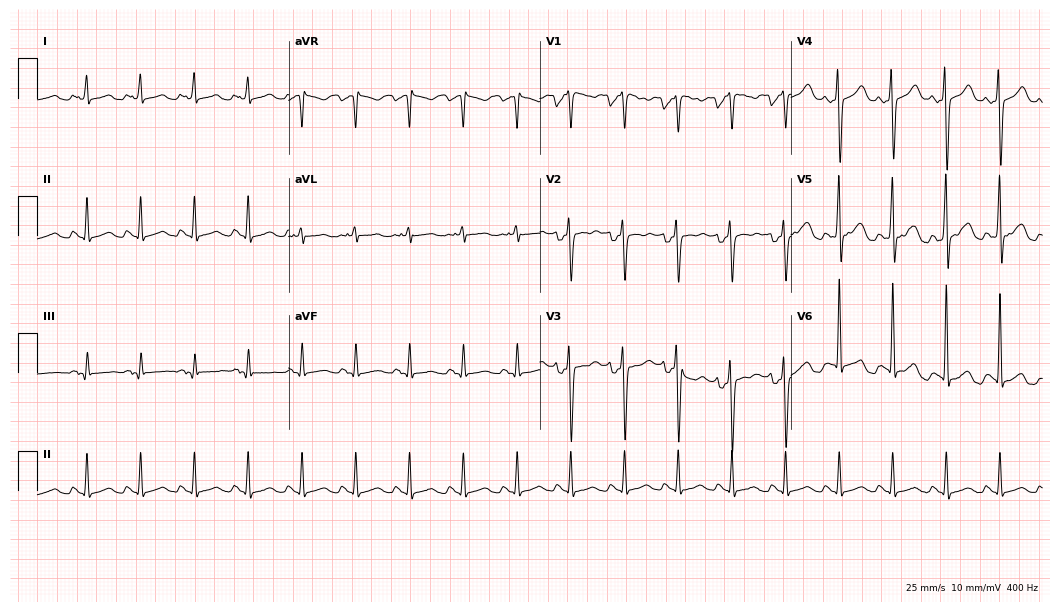
Resting 12-lead electrocardiogram (10.2-second recording at 400 Hz). Patient: a 34-year-old woman. None of these six findings is recorded: first-degree AV block, right bundle branch block, left bundle branch block, sinus bradycardia, atrial fibrillation, sinus tachycardia.